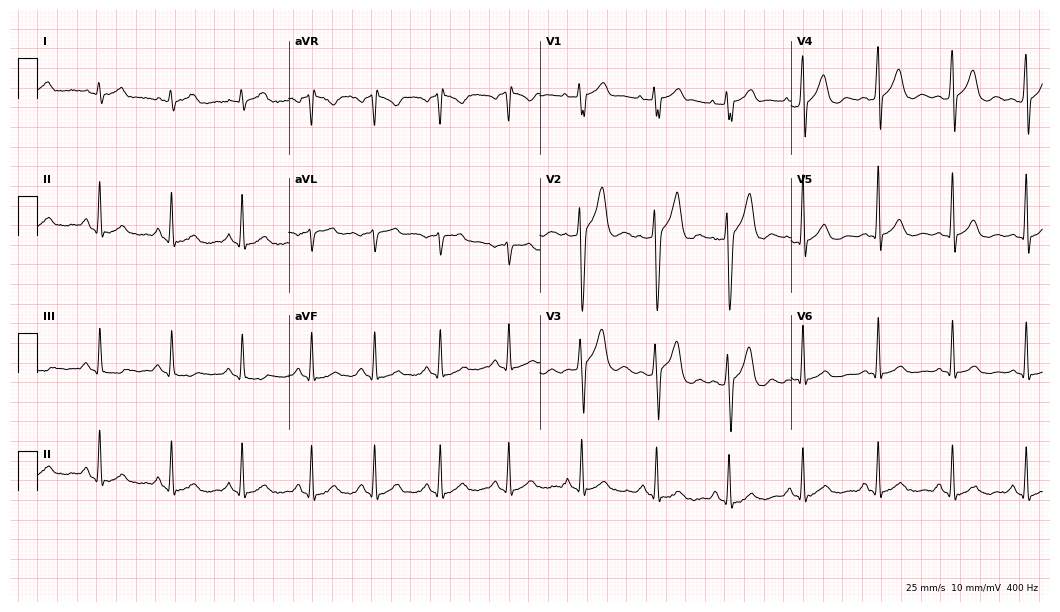
Electrocardiogram (10.2-second recording at 400 Hz), a 33-year-old male. Overall reading on record: normal ECG.